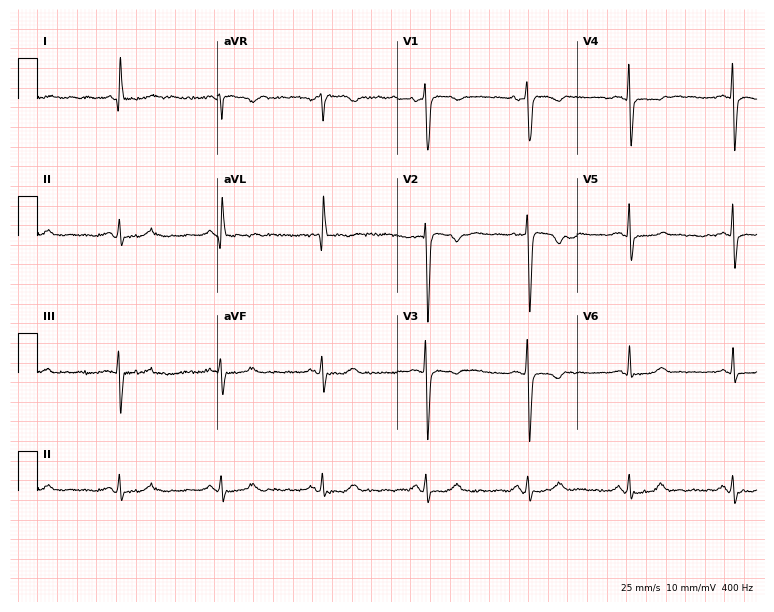
12-lead ECG from an 84-year-old female. Screened for six findings — first-degree AV block, right bundle branch block, left bundle branch block, sinus bradycardia, atrial fibrillation, sinus tachycardia — none is recorded.